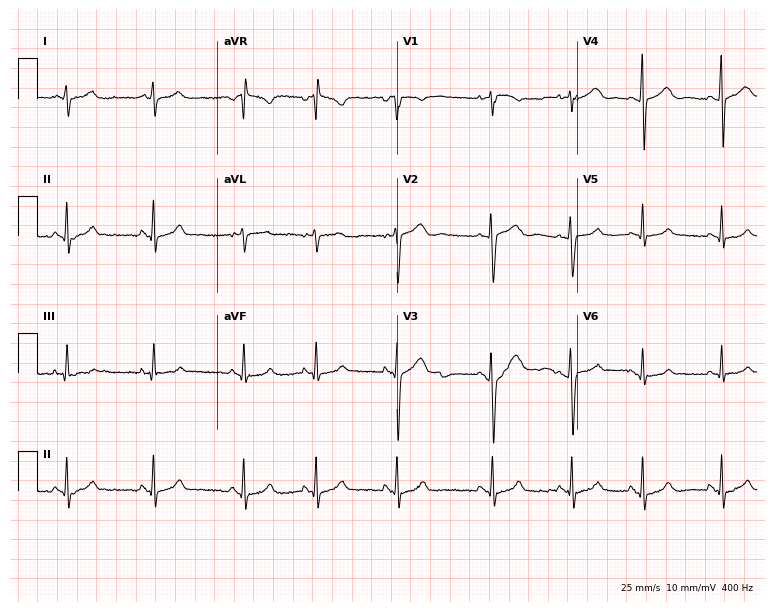
12-lead ECG from a woman, 21 years old (7.3-second recording at 400 Hz). No first-degree AV block, right bundle branch block (RBBB), left bundle branch block (LBBB), sinus bradycardia, atrial fibrillation (AF) or sinus tachycardia recorded for this tracing.